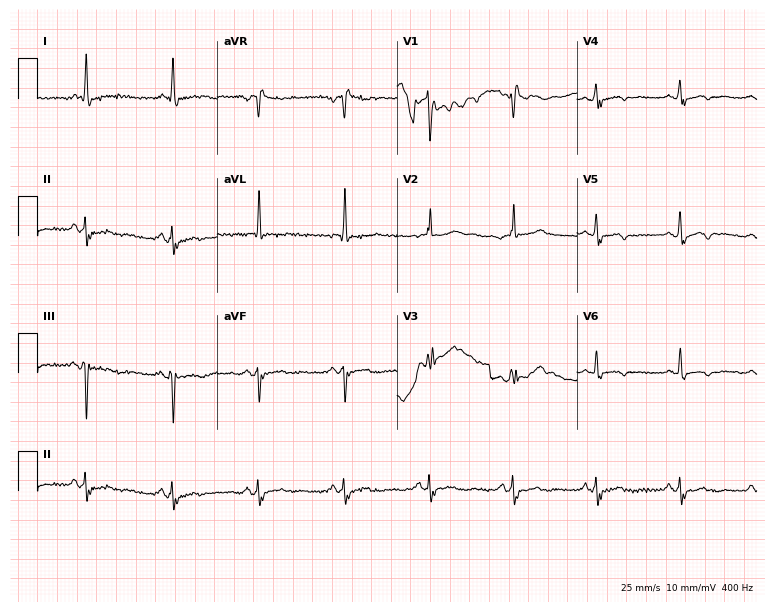
Electrocardiogram (7.3-second recording at 400 Hz), a male patient, 40 years old. Of the six screened findings (first-degree AV block, right bundle branch block (RBBB), left bundle branch block (LBBB), sinus bradycardia, atrial fibrillation (AF), sinus tachycardia), none is recorded. Only these six findings were labelled.